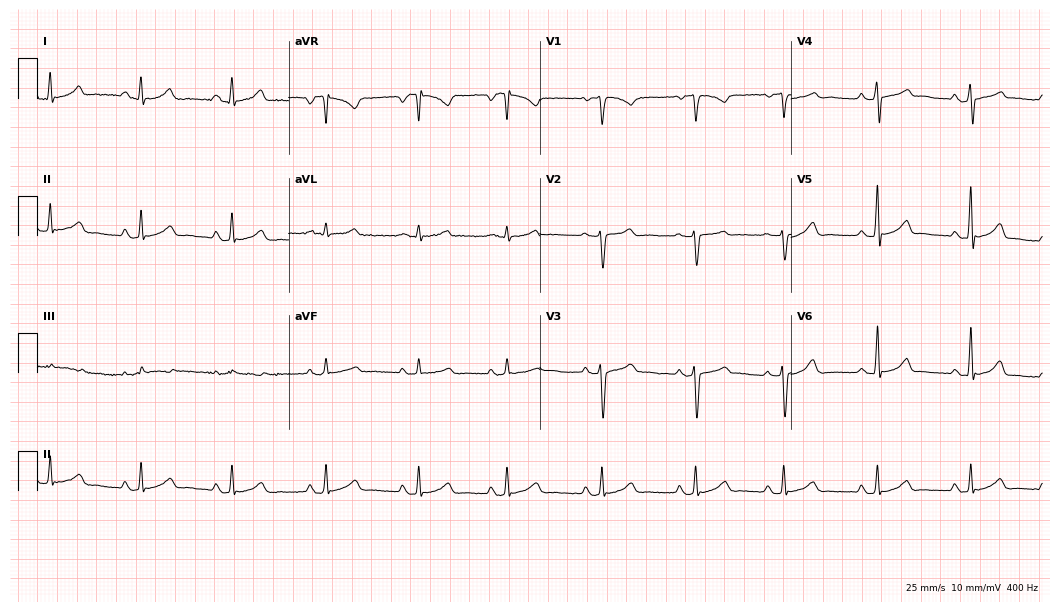
Standard 12-lead ECG recorded from a female patient, 35 years old (10.2-second recording at 400 Hz). Read as a normal ECG.